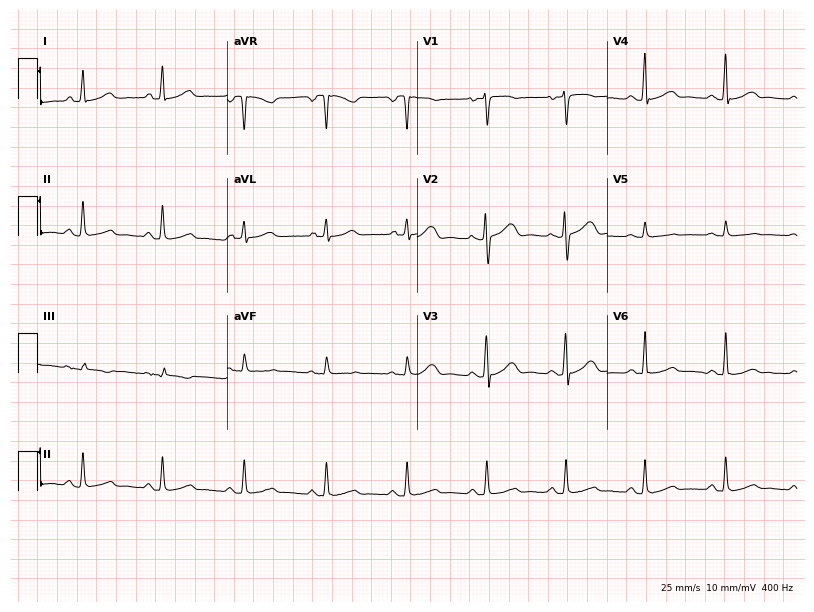
Electrocardiogram, a 44-year-old woman. Overall reading on record: normal ECG.